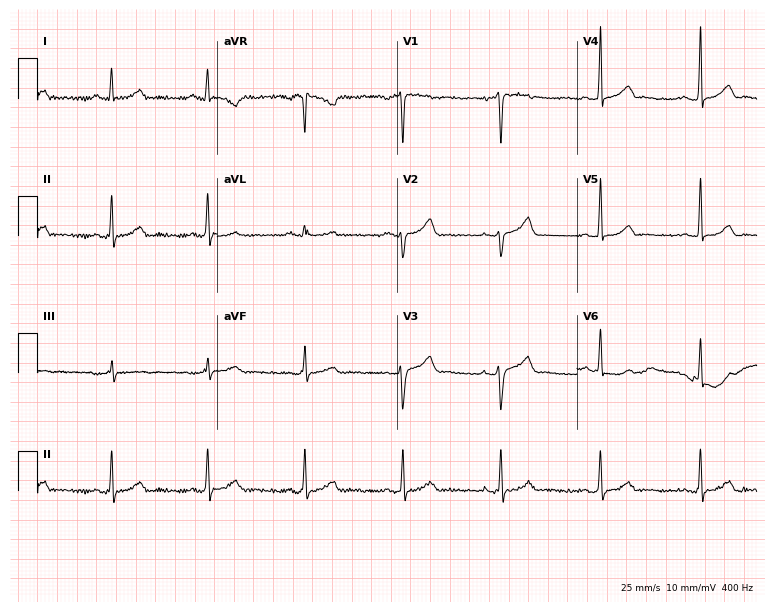
12-lead ECG from a 48-year-old female patient (7.3-second recording at 400 Hz). No first-degree AV block, right bundle branch block, left bundle branch block, sinus bradycardia, atrial fibrillation or sinus tachycardia recorded for this tracing.